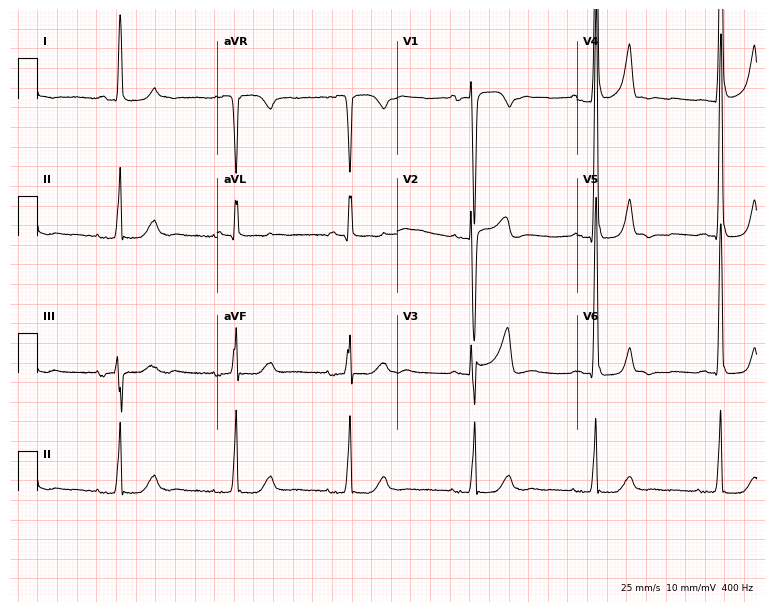
12-lead ECG from a 68-year-old female patient. Shows sinus bradycardia (a sinus rate of 50 beats per minute or less).